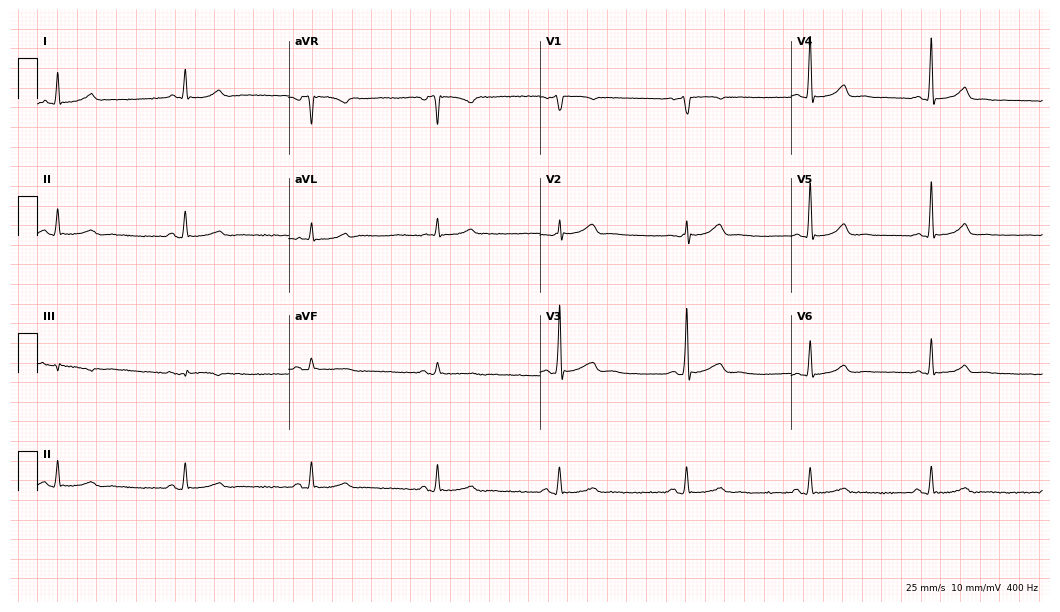
Standard 12-lead ECG recorded from a man, 46 years old (10.2-second recording at 400 Hz). The tracing shows sinus bradycardia (a sinus rate of 50 beats per minute or less).